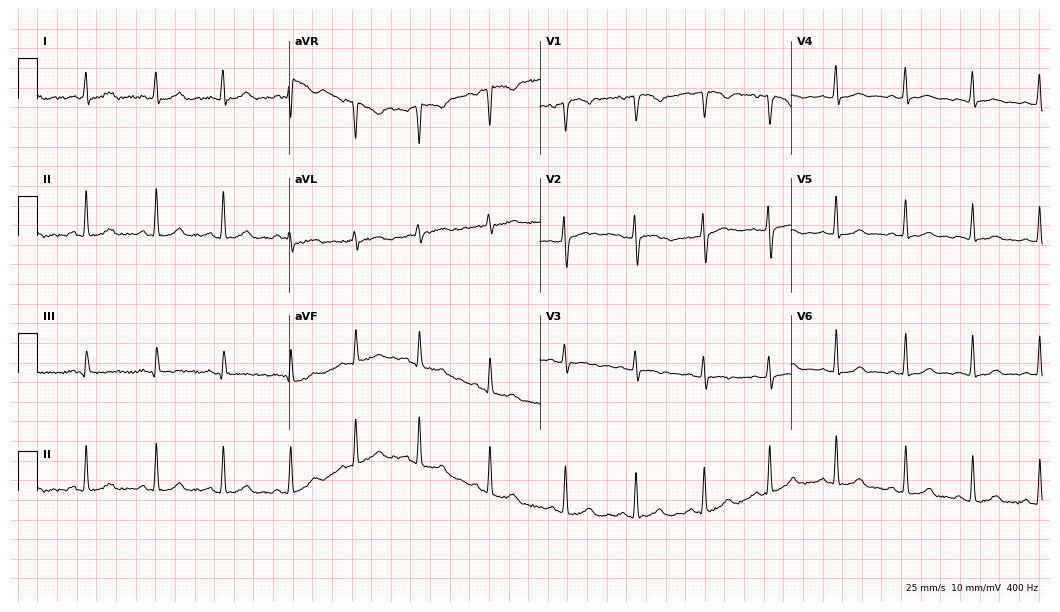
12-lead ECG from a female patient, 33 years old. Labelled as a normal ECG.